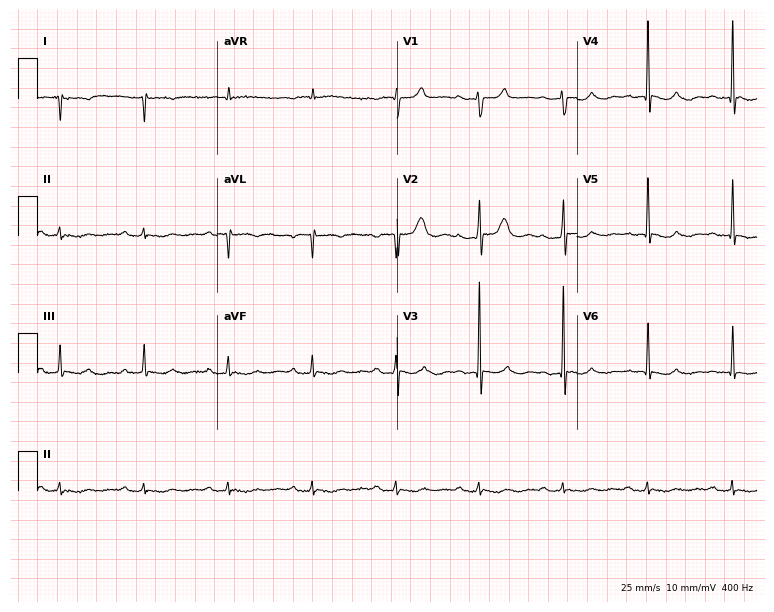
12-lead ECG from a female patient, 65 years old (7.3-second recording at 400 Hz). No first-degree AV block, right bundle branch block, left bundle branch block, sinus bradycardia, atrial fibrillation or sinus tachycardia recorded for this tracing.